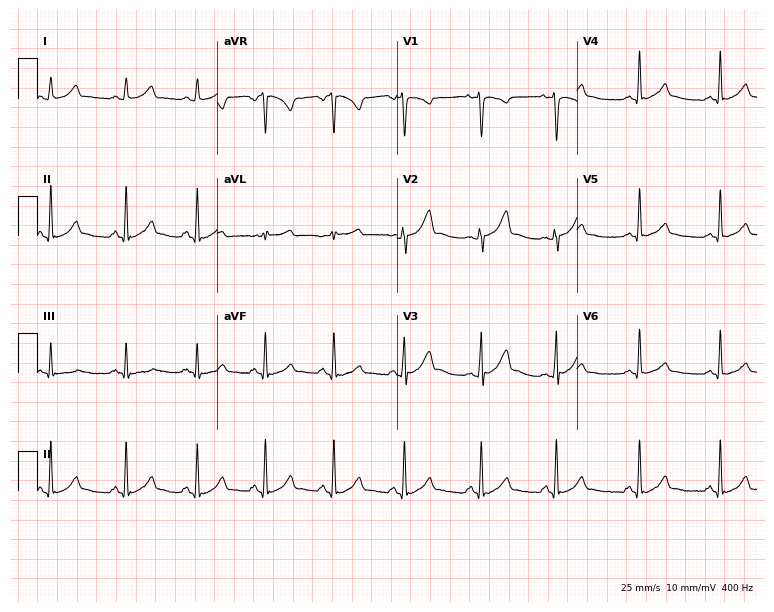
Standard 12-lead ECG recorded from a woman, 25 years old (7.3-second recording at 400 Hz). Read as a normal ECG.